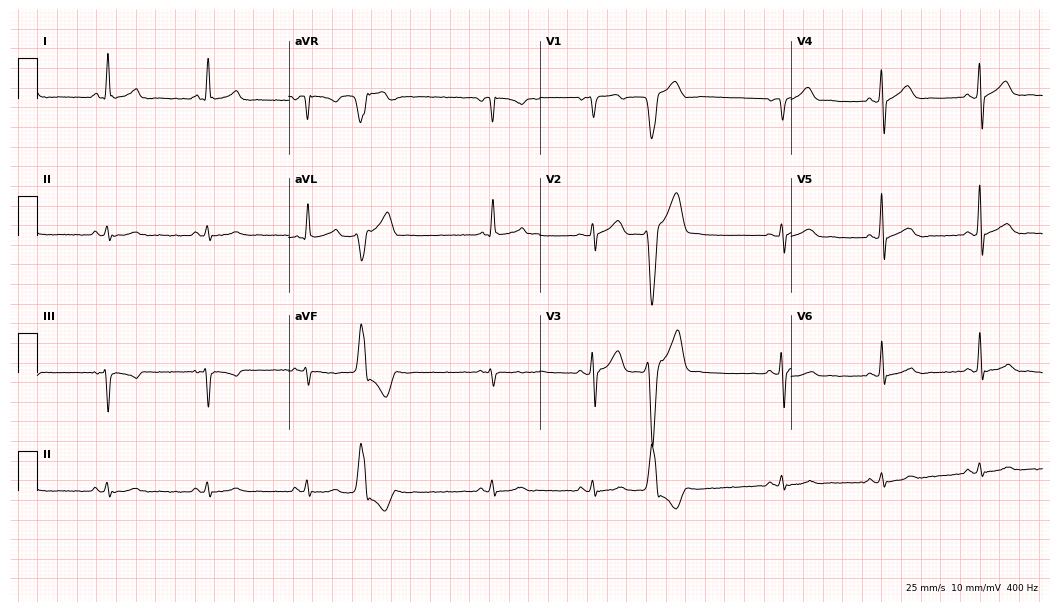
Electrocardiogram (10.2-second recording at 400 Hz), a man, 66 years old. Of the six screened findings (first-degree AV block, right bundle branch block (RBBB), left bundle branch block (LBBB), sinus bradycardia, atrial fibrillation (AF), sinus tachycardia), none is recorded. Only these six findings were labelled.